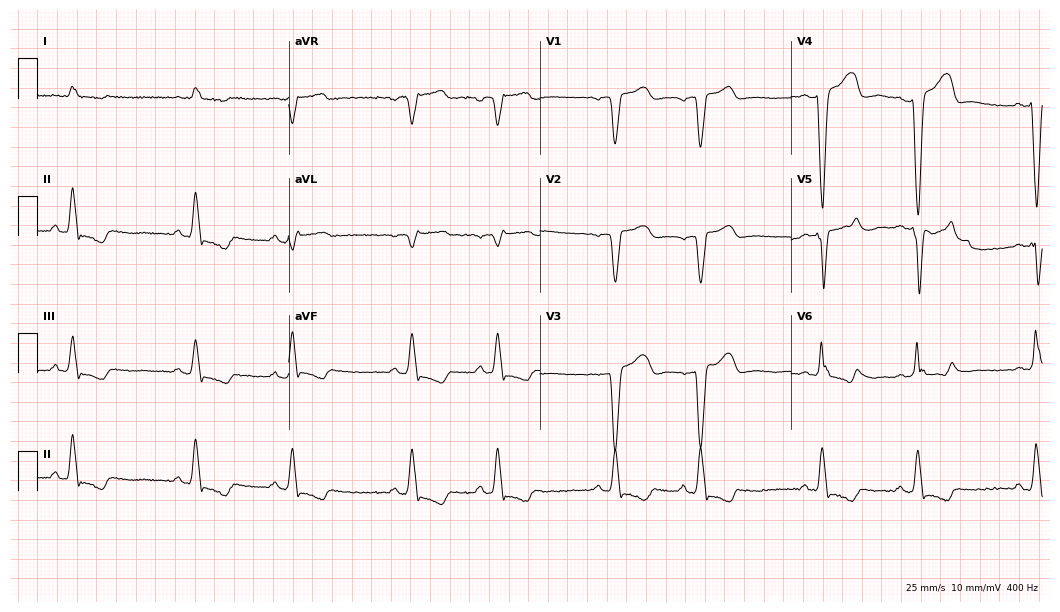
12-lead ECG from a male, 72 years old. Findings include left bundle branch block.